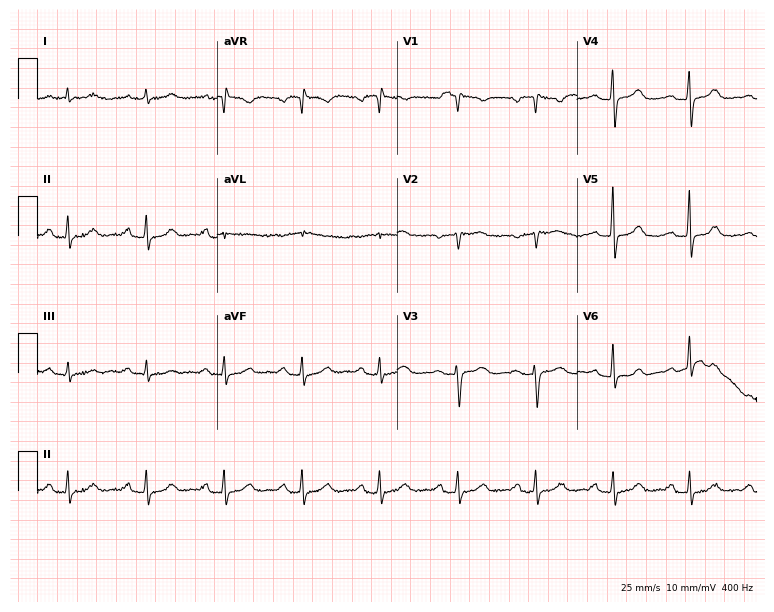
Electrocardiogram (7.3-second recording at 400 Hz), a 59-year-old woman. Of the six screened findings (first-degree AV block, right bundle branch block (RBBB), left bundle branch block (LBBB), sinus bradycardia, atrial fibrillation (AF), sinus tachycardia), none is recorded. Other findings, if any, are not listed.